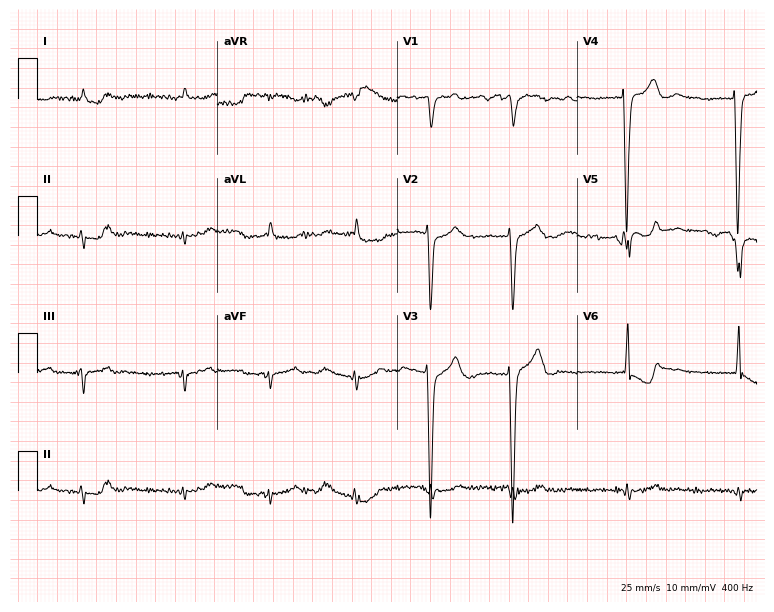
Standard 12-lead ECG recorded from a male, 81 years old. The tracing shows atrial fibrillation (AF).